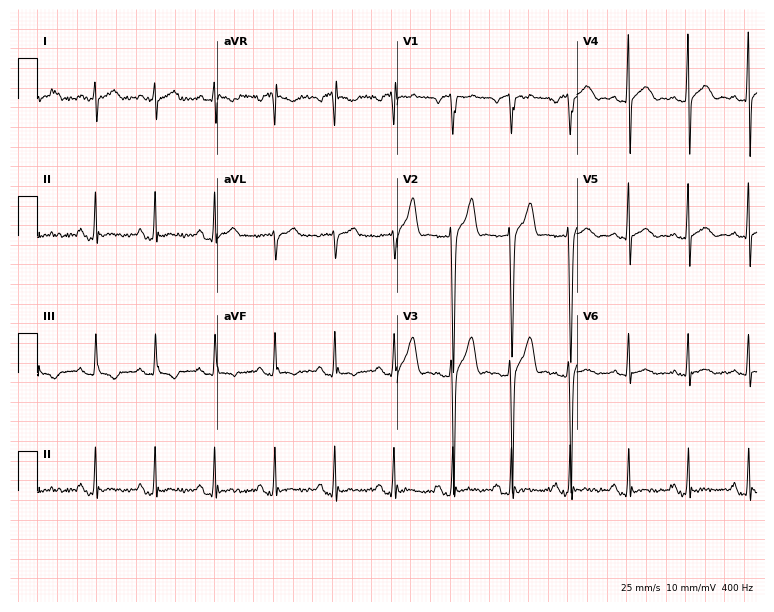
Electrocardiogram (7.3-second recording at 400 Hz), a man, 28 years old. Of the six screened findings (first-degree AV block, right bundle branch block (RBBB), left bundle branch block (LBBB), sinus bradycardia, atrial fibrillation (AF), sinus tachycardia), none is recorded.